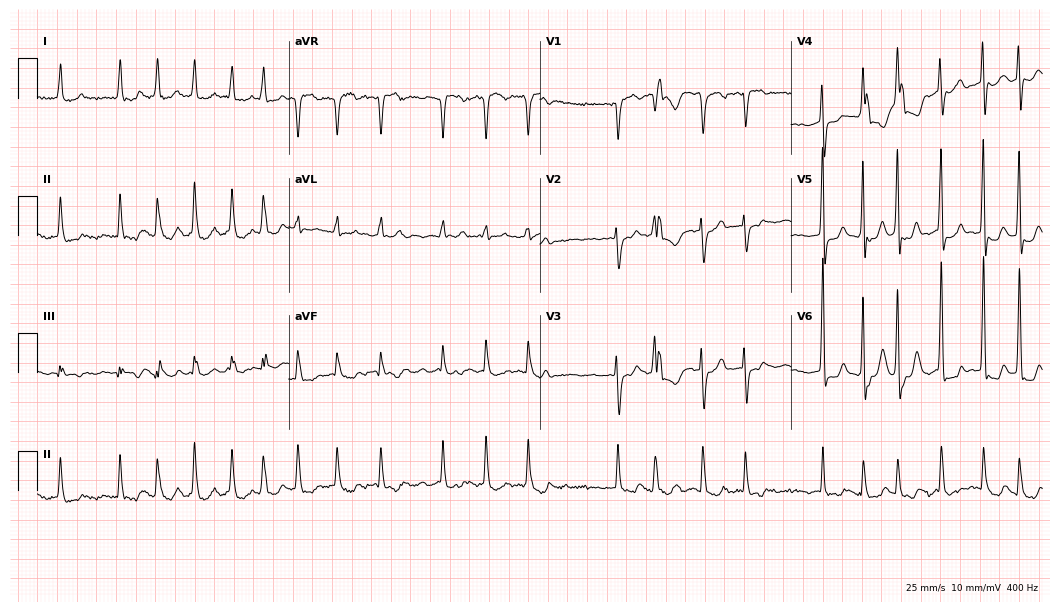
12-lead ECG from a woman, 81 years old. No first-degree AV block, right bundle branch block, left bundle branch block, sinus bradycardia, atrial fibrillation or sinus tachycardia recorded for this tracing. Findings outside these six are not listed.